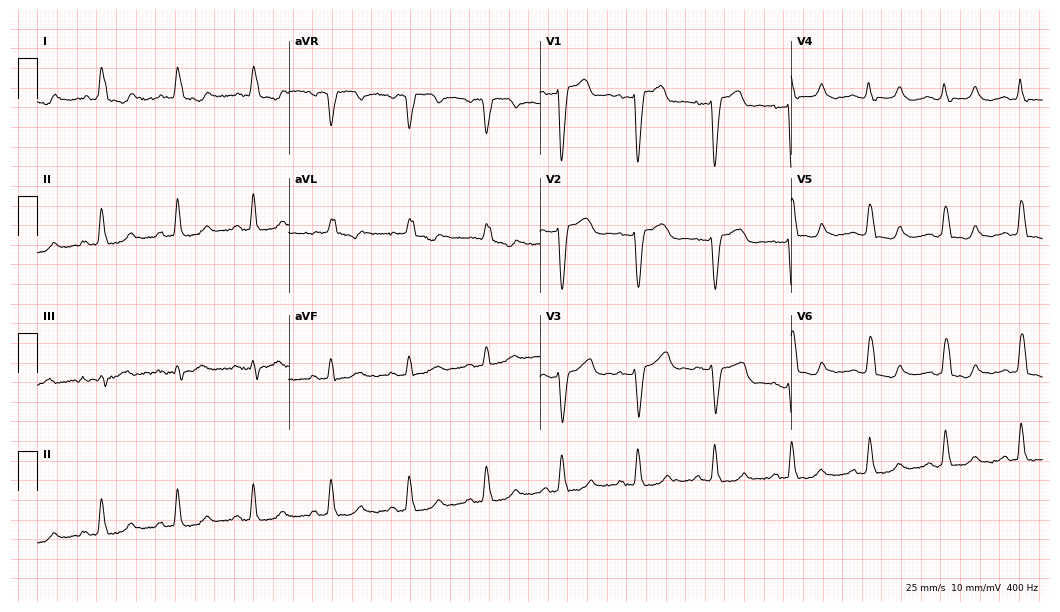
12-lead ECG (10.2-second recording at 400 Hz) from a female patient, 69 years old. Findings include left bundle branch block (LBBB).